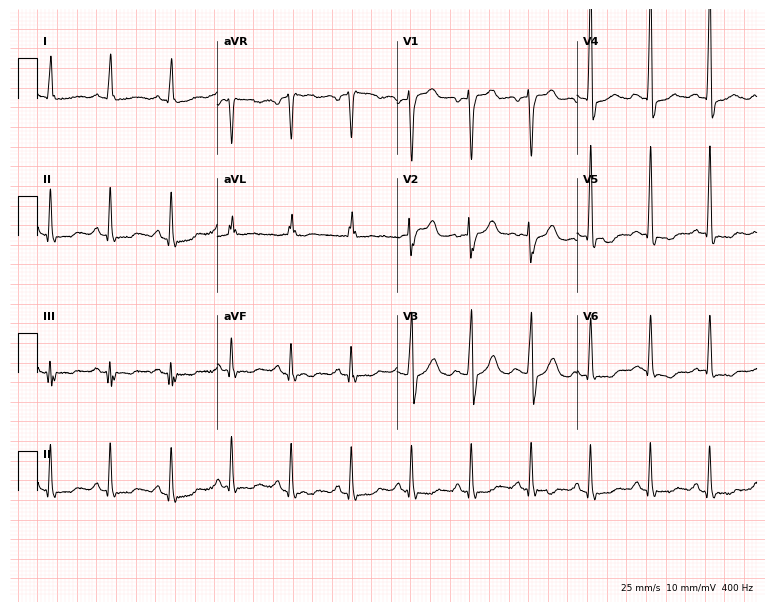
Resting 12-lead electrocardiogram (7.3-second recording at 400 Hz). Patient: a male, 61 years old. None of these six findings is recorded: first-degree AV block, right bundle branch block, left bundle branch block, sinus bradycardia, atrial fibrillation, sinus tachycardia.